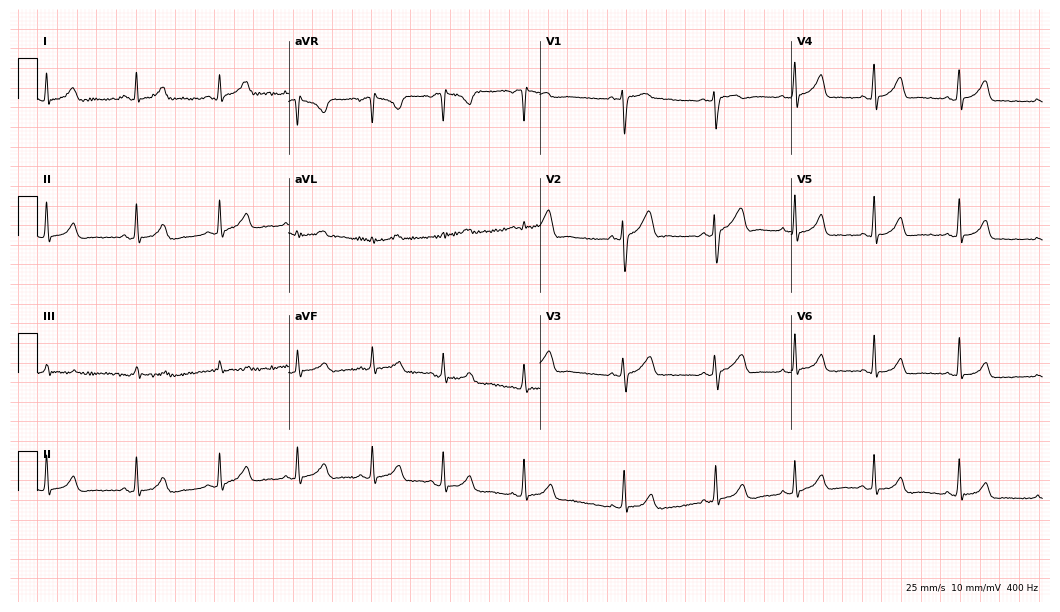
Standard 12-lead ECG recorded from a female patient, 18 years old. Read as a normal ECG.